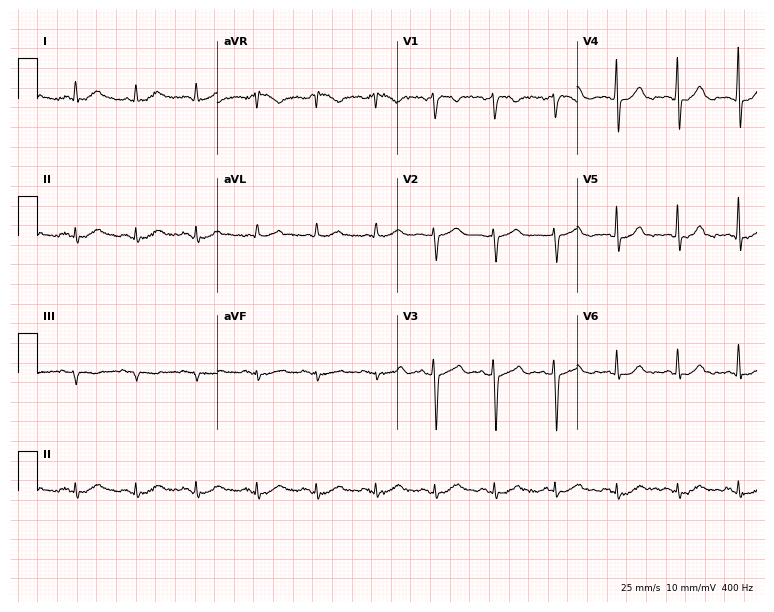
Resting 12-lead electrocardiogram. Patient: a 66-year-old male. None of these six findings is recorded: first-degree AV block, right bundle branch block, left bundle branch block, sinus bradycardia, atrial fibrillation, sinus tachycardia.